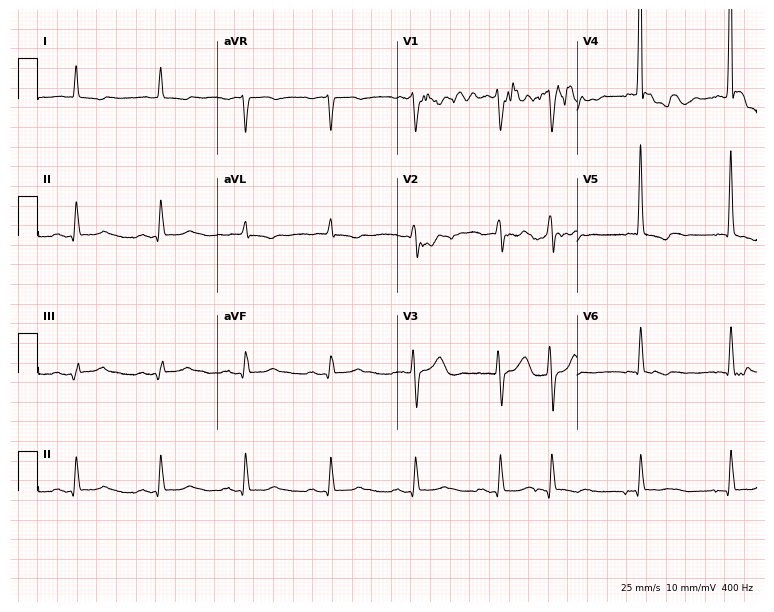
12-lead ECG from an 86-year-old male patient. No first-degree AV block, right bundle branch block, left bundle branch block, sinus bradycardia, atrial fibrillation or sinus tachycardia recorded for this tracing.